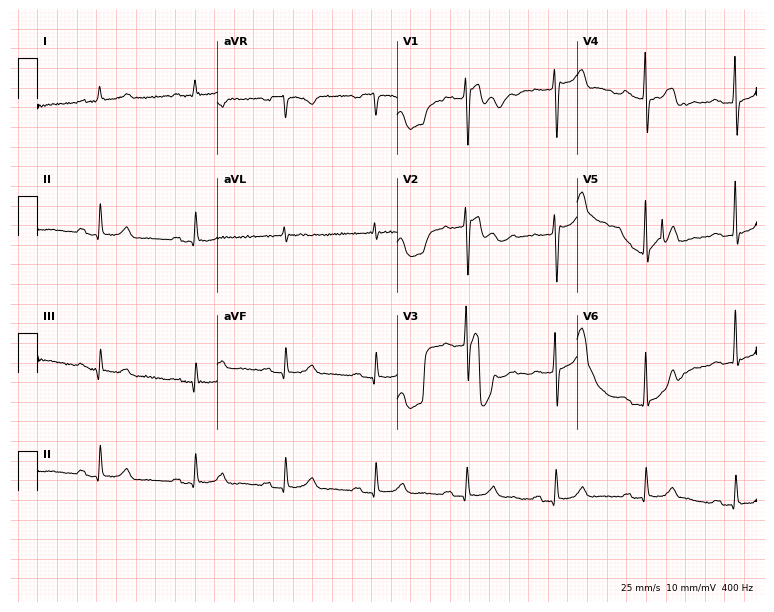
Standard 12-lead ECG recorded from an 82-year-old female (7.3-second recording at 400 Hz). None of these six findings is recorded: first-degree AV block, right bundle branch block, left bundle branch block, sinus bradycardia, atrial fibrillation, sinus tachycardia.